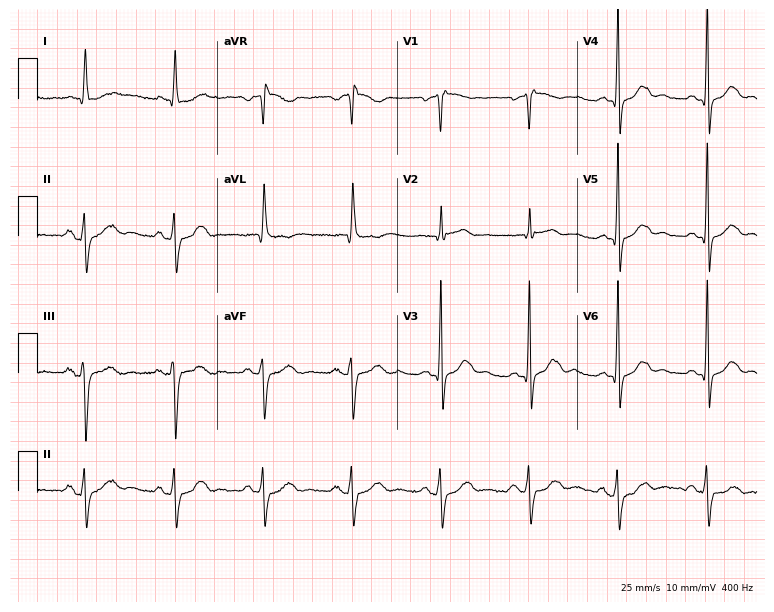
ECG (7.3-second recording at 400 Hz) — a 72-year-old man. Screened for six findings — first-degree AV block, right bundle branch block, left bundle branch block, sinus bradycardia, atrial fibrillation, sinus tachycardia — none is recorded. Only these six findings were labelled.